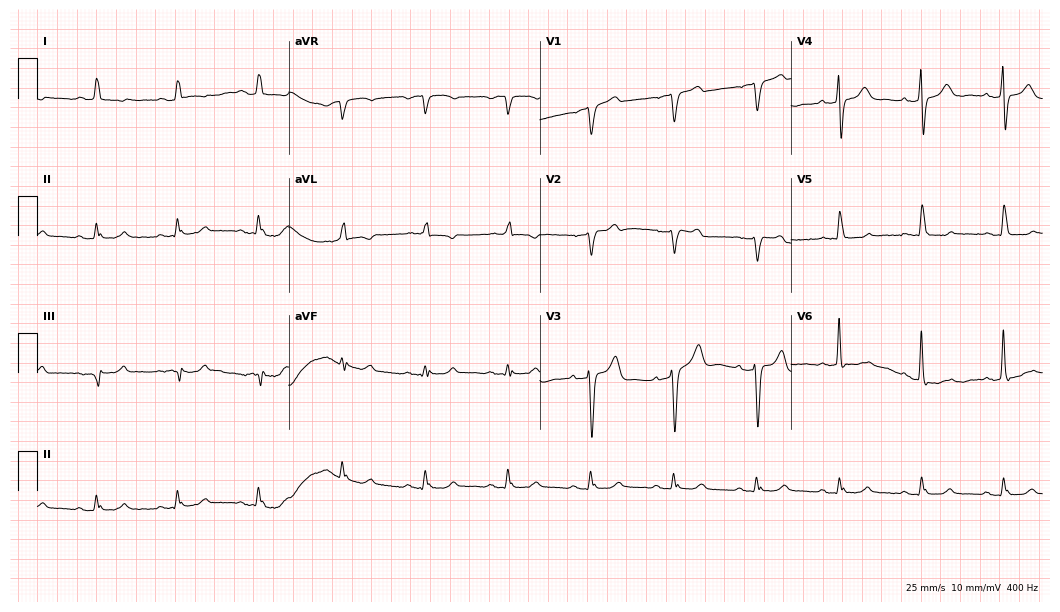
Electrocardiogram (10.2-second recording at 400 Hz), a male, 80 years old. Of the six screened findings (first-degree AV block, right bundle branch block, left bundle branch block, sinus bradycardia, atrial fibrillation, sinus tachycardia), none is recorded. Other findings, if any, are not listed.